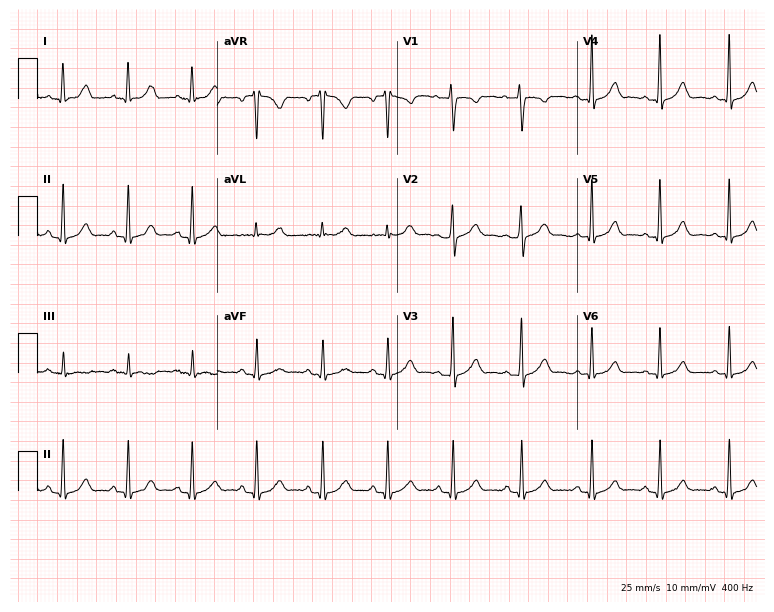
Standard 12-lead ECG recorded from a 31-year-old female patient. Read as a normal ECG.